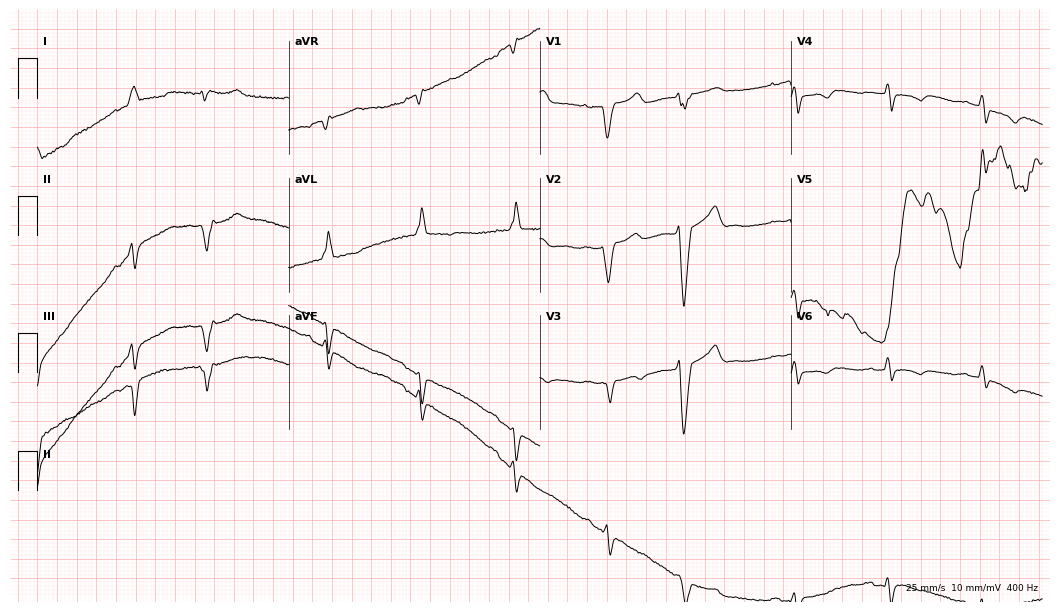
Electrocardiogram (10.2-second recording at 400 Hz), a man, 74 years old. Of the six screened findings (first-degree AV block, right bundle branch block, left bundle branch block, sinus bradycardia, atrial fibrillation, sinus tachycardia), none is recorded. Findings outside these six are not listed.